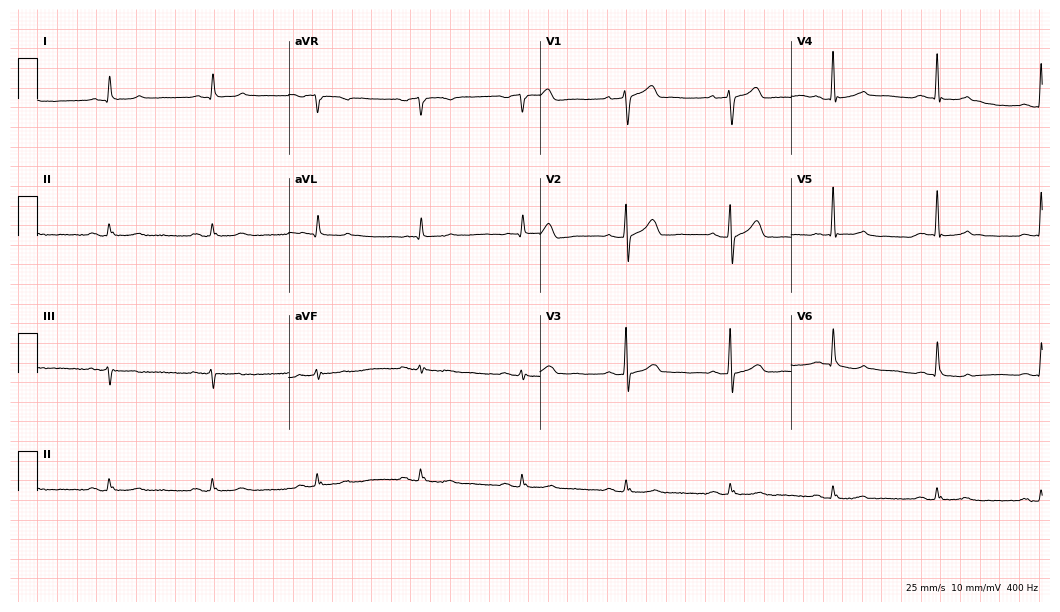
12-lead ECG from a male patient, 78 years old. Recorded interpretation: within normal limits.